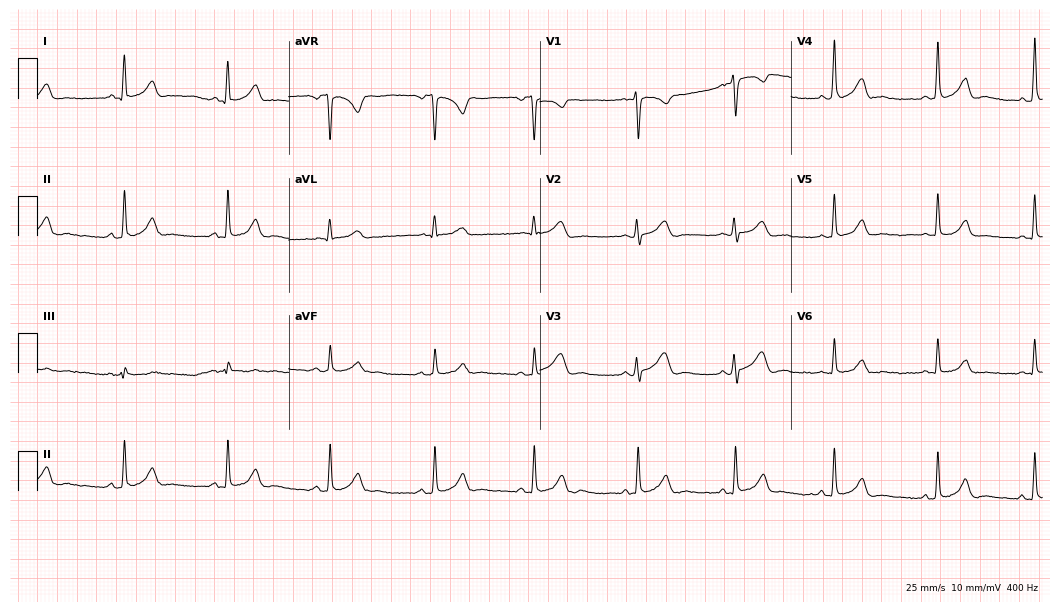
Standard 12-lead ECG recorded from a female, 28 years old. Read as a normal ECG.